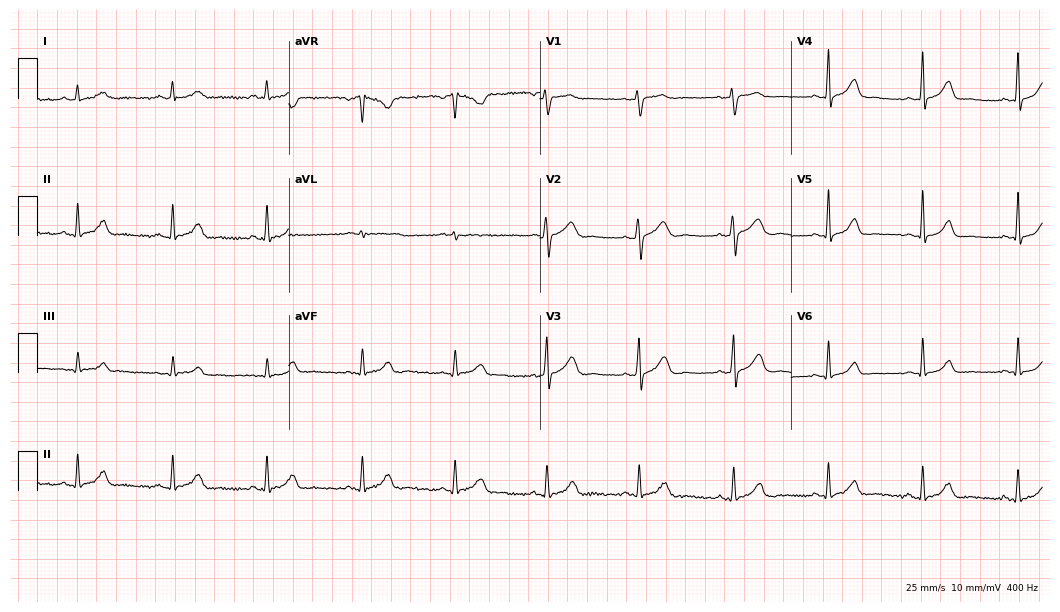
Standard 12-lead ECG recorded from a 39-year-old woman. None of these six findings is recorded: first-degree AV block, right bundle branch block, left bundle branch block, sinus bradycardia, atrial fibrillation, sinus tachycardia. Other findings, if any, are not listed.